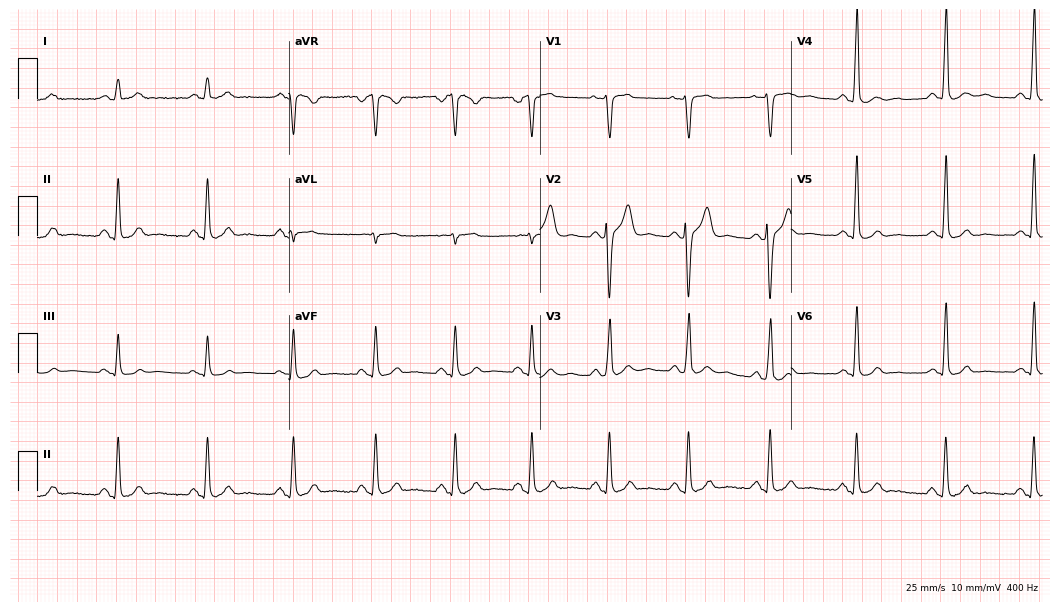
12-lead ECG (10.2-second recording at 400 Hz) from a male patient, 38 years old. Labelled as a normal ECG.